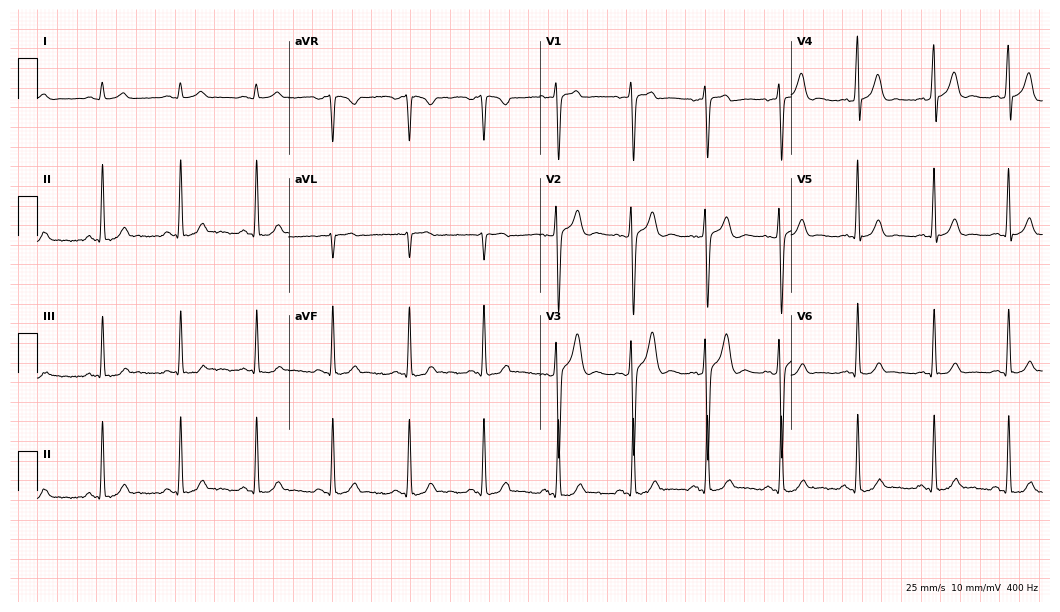
ECG — a 28-year-old man. Labelled as a normal ECG.